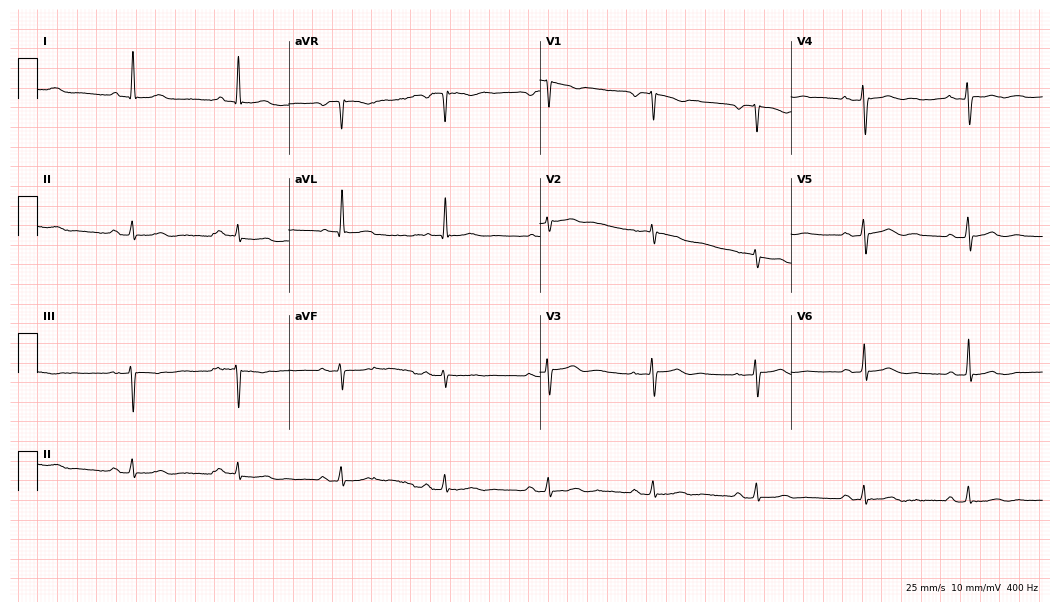
Electrocardiogram, a female patient, 82 years old. Of the six screened findings (first-degree AV block, right bundle branch block, left bundle branch block, sinus bradycardia, atrial fibrillation, sinus tachycardia), none is recorded.